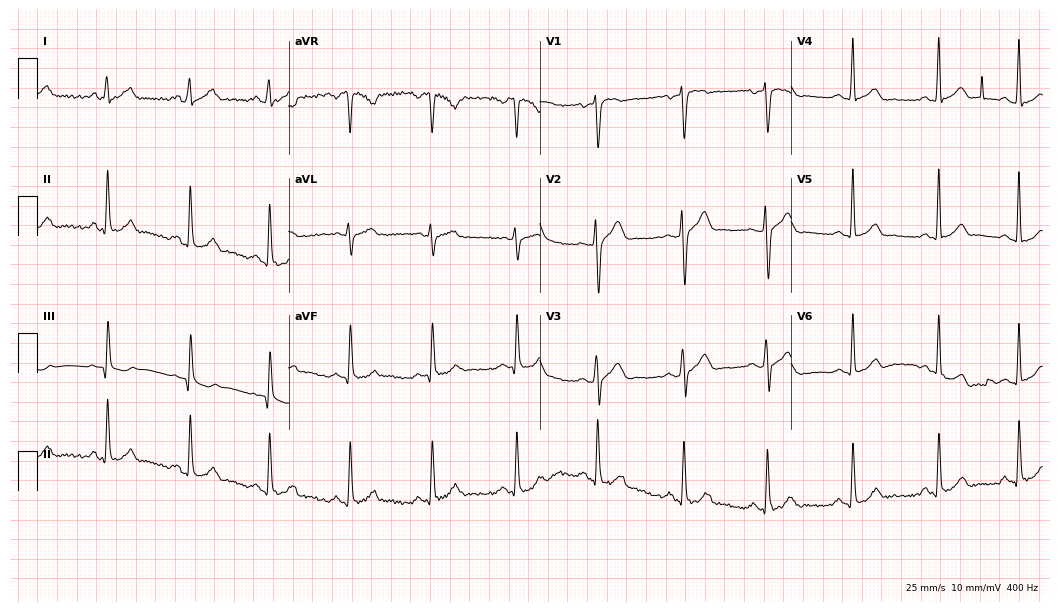
Standard 12-lead ECG recorded from a 25-year-old man (10.2-second recording at 400 Hz). Read as a normal ECG.